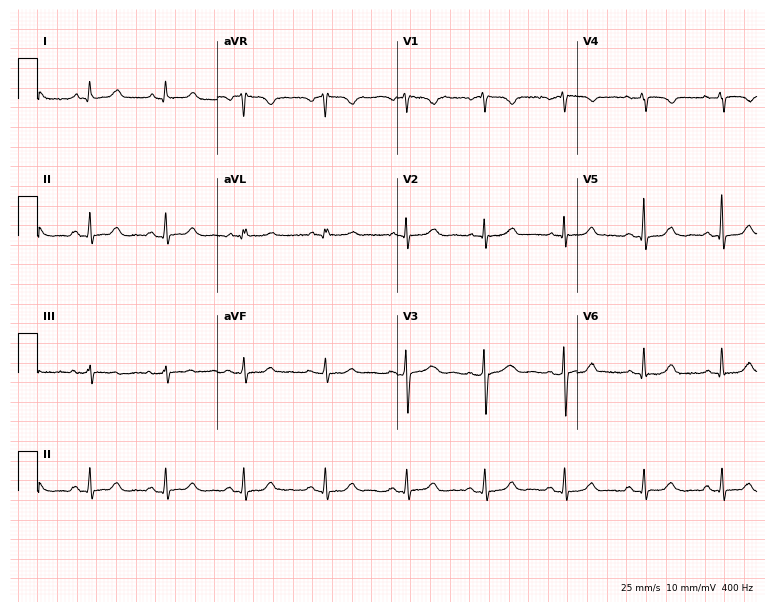
Electrocardiogram, a 52-year-old man. Of the six screened findings (first-degree AV block, right bundle branch block (RBBB), left bundle branch block (LBBB), sinus bradycardia, atrial fibrillation (AF), sinus tachycardia), none is recorded. Findings outside these six are not listed.